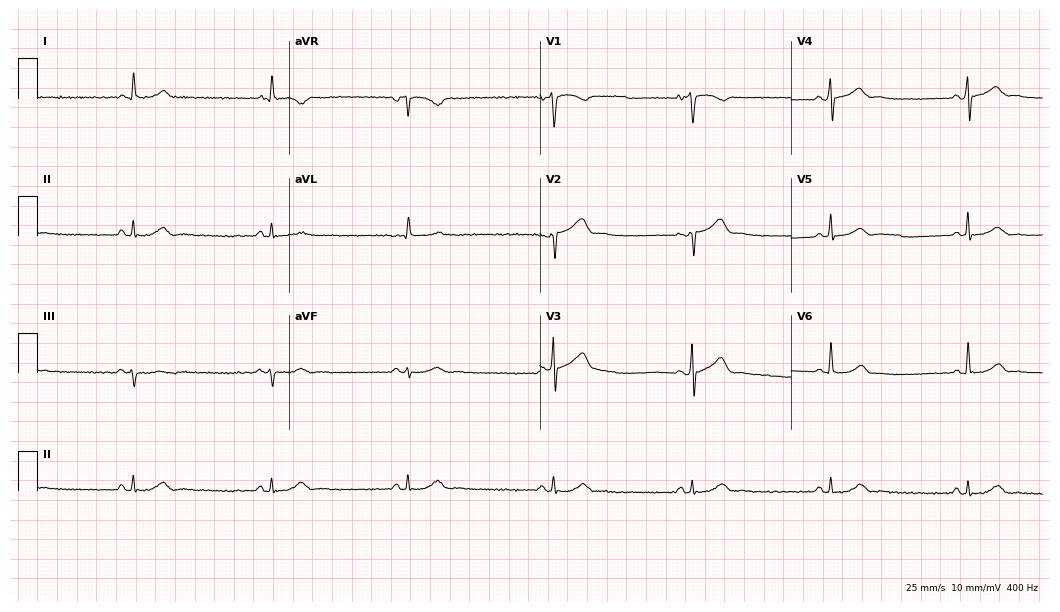
Standard 12-lead ECG recorded from a male patient, 42 years old (10.2-second recording at 400 Hz). The tracing shows sinus bradycardia (a sinus rate of 50 beats per minute or less).